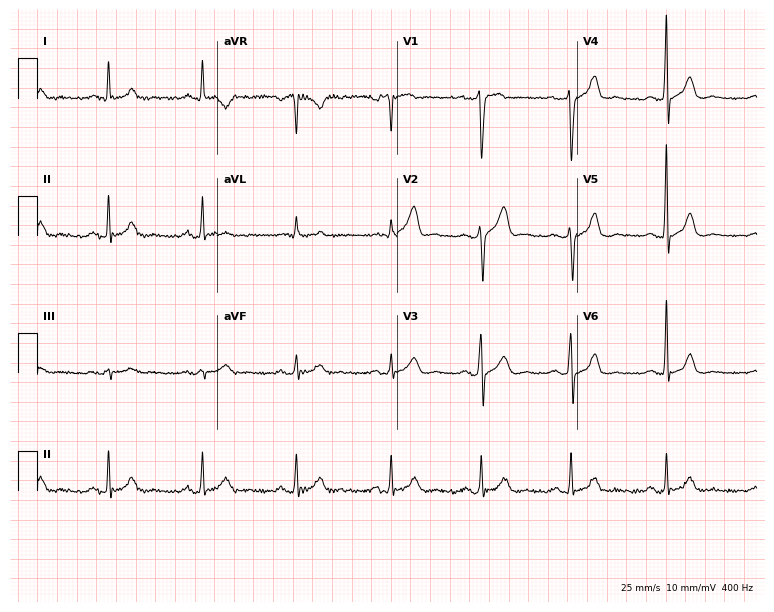
12-lead ECG from a man, 43 years old (7.3-second recording at 400 Hz). Recorded interpretation: within normal limits.